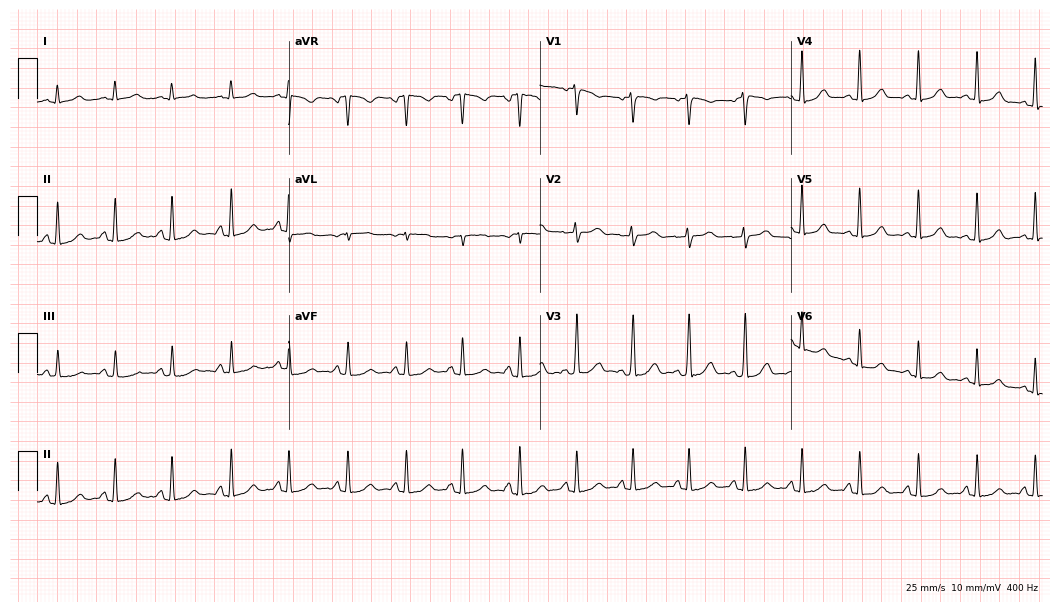
Standard 12-lead ECG recorded from a female patient, 34 years old. The tracing shows sinus tachycardia (a sinus rate of 100 beats per minute or more).